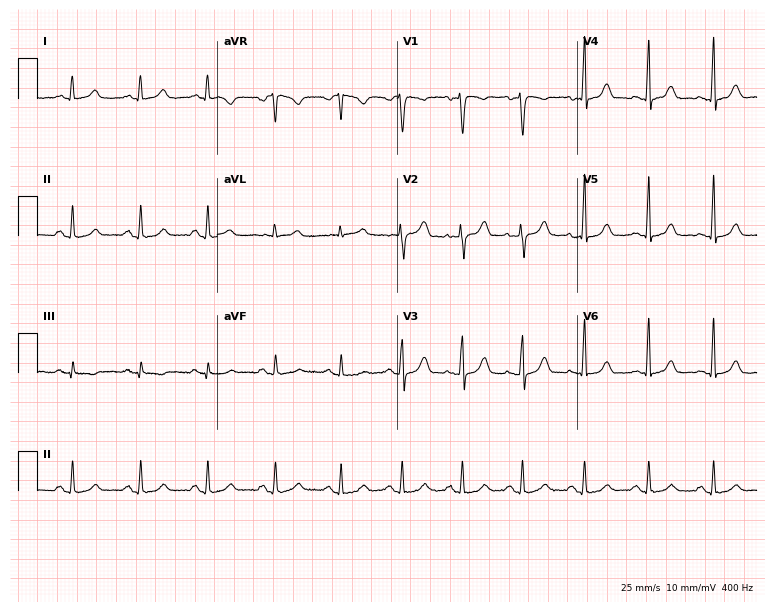
ECG — a 41-year-old female patient. Labelled as a normal ECG.